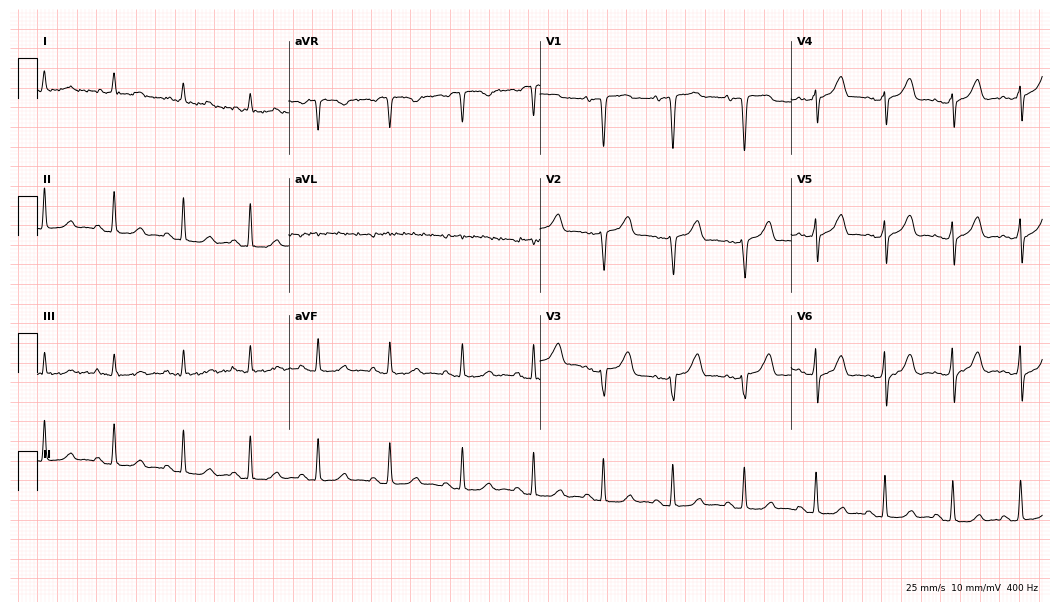
12-lead ECG from a man, 66 years old (10.2-second recording at 400 Hz). No first-degree AV block, right bundle branch block (RBBB), left bundle branch block (LBBB), sinus bradycardia, atrial fibrillation (AF) or sinus tachycardia recorded for this tracing. Findings outside these six are not listed.